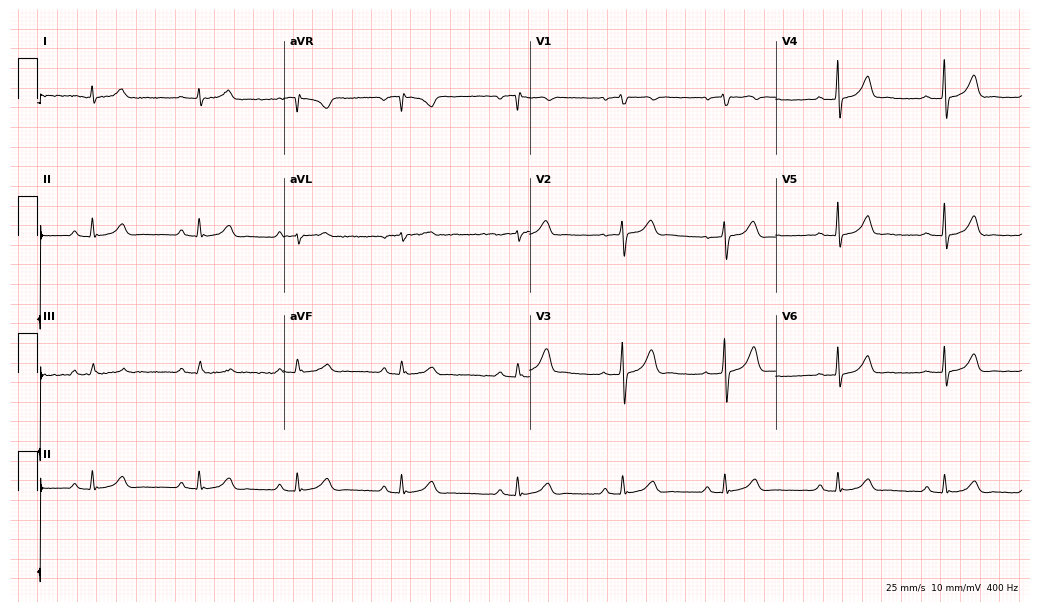
12-lead ECG from a male patient, 40 years old. Screened for six findings — first-degree AV block, right bundle branch block, left bundle branch block, sinus bradycardia, atrial fibrillation, sinus tachycardia — none is recorded. Only these six findings were labelled.